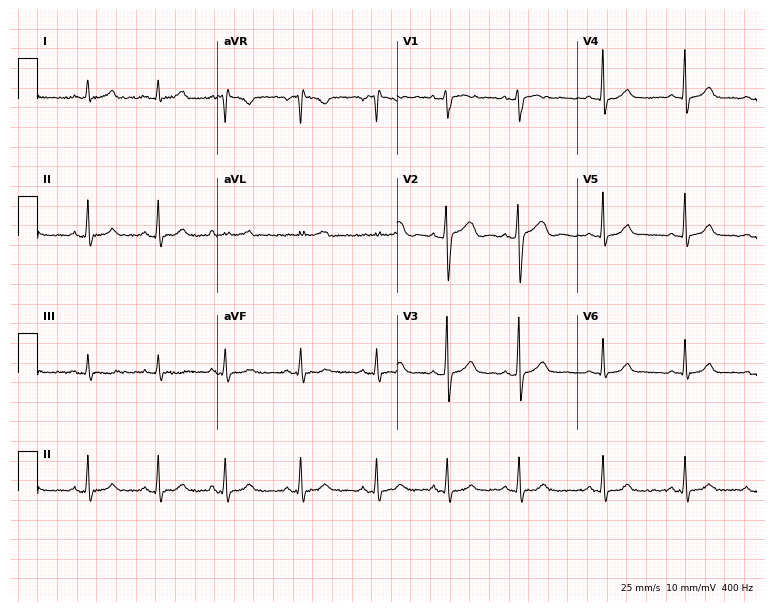
12-lead ECG from a female, 25 years old. Recorded interpretation: within normal limits.